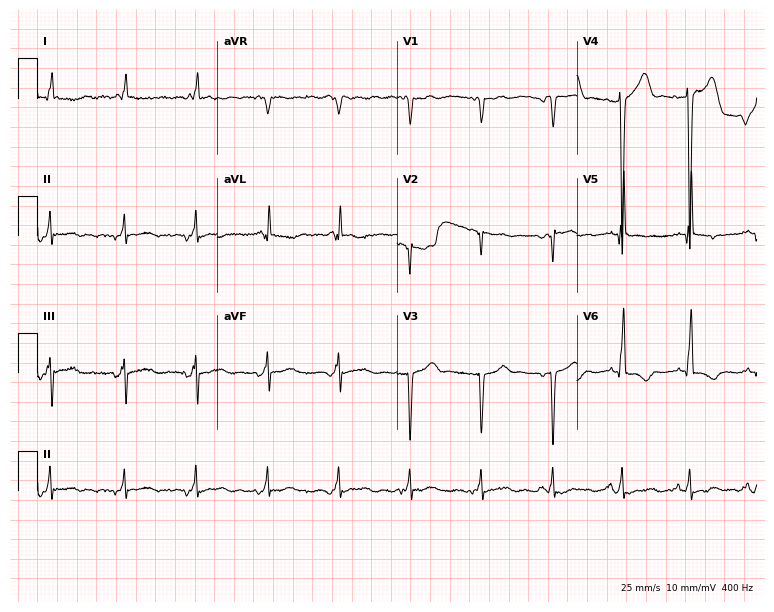
Standard 12-lead ECG recorded from a man, 82 years old. None of these six findings is recorded: first-degree AV block, right bundle branch block, left bundle branch block, sinus bradycardia, atrial fibrillation, sinus tachycardia.